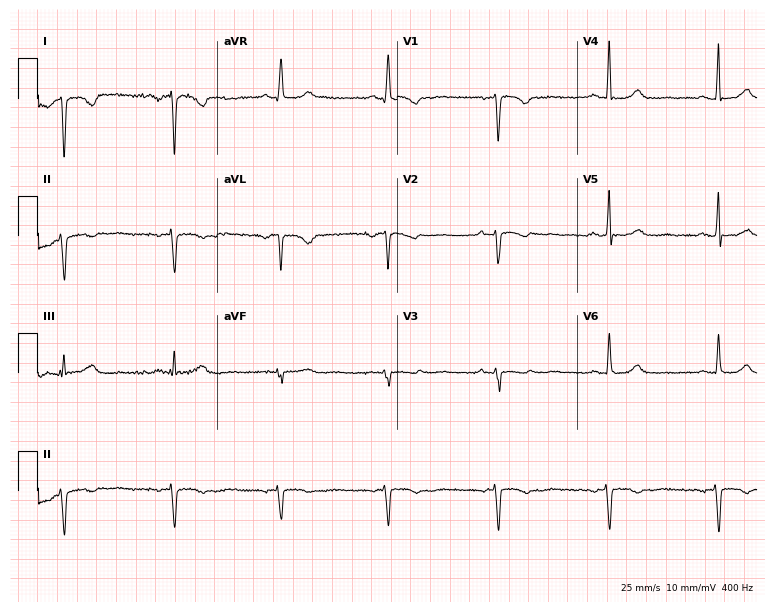
Electrocardiogram, a 57-year-old woman. Of the six screened findings (first-degree AV block, right bundle branch block, left bundle branch block, sinus bradycardia, atrial fibrillation, sinus tachycardia), none is recorded. Only these six findings were labelled.